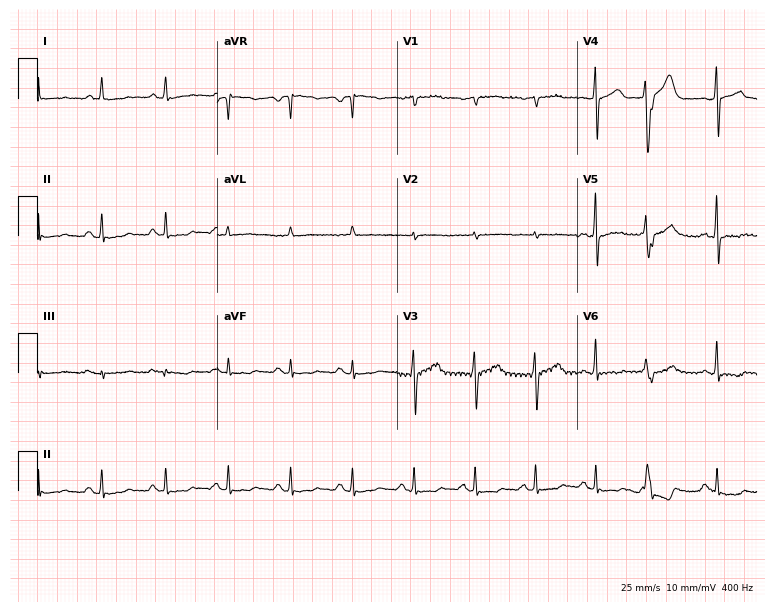
ECG — a 67-year-old man. Screened for six findings — first-degree AV block, right bundle branch block, left bundle branch block, sinus bradycardia, atrial fibrillation, sinus tachycardia — none is recorded. Only these six findings were labelled.